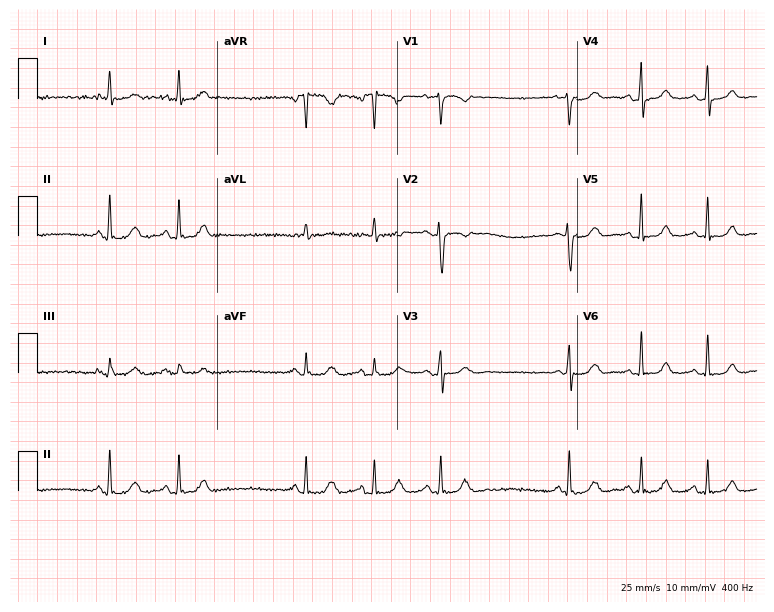
Electrocardiogram, a female, 58 years old. Overall reading on record: normal ECG.